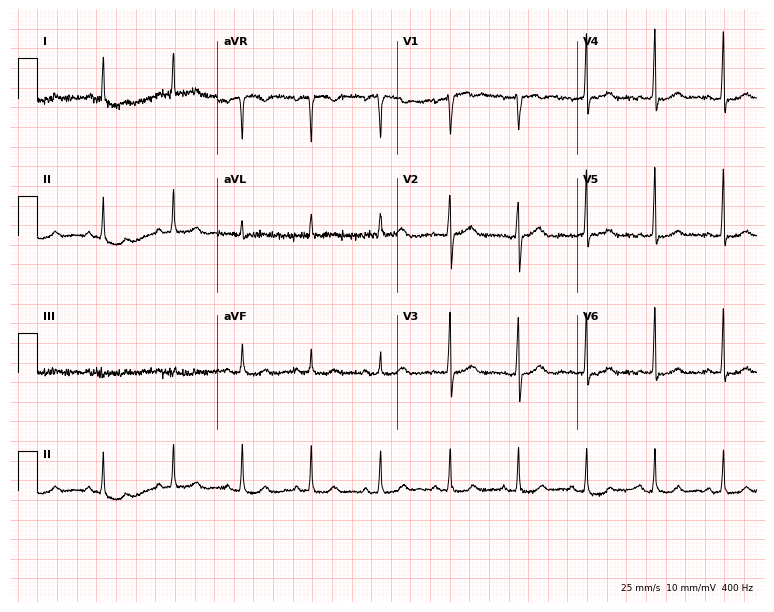
Standard 12-lead ECG recorded from a 63-year-old female. None of these six findings is recorded: first-degree AV block, right bundle branch block (RBBB), left bundle branch block (LBBB), sinus bradycardia, atrial fibrillation (AF), sinus tachycardia.